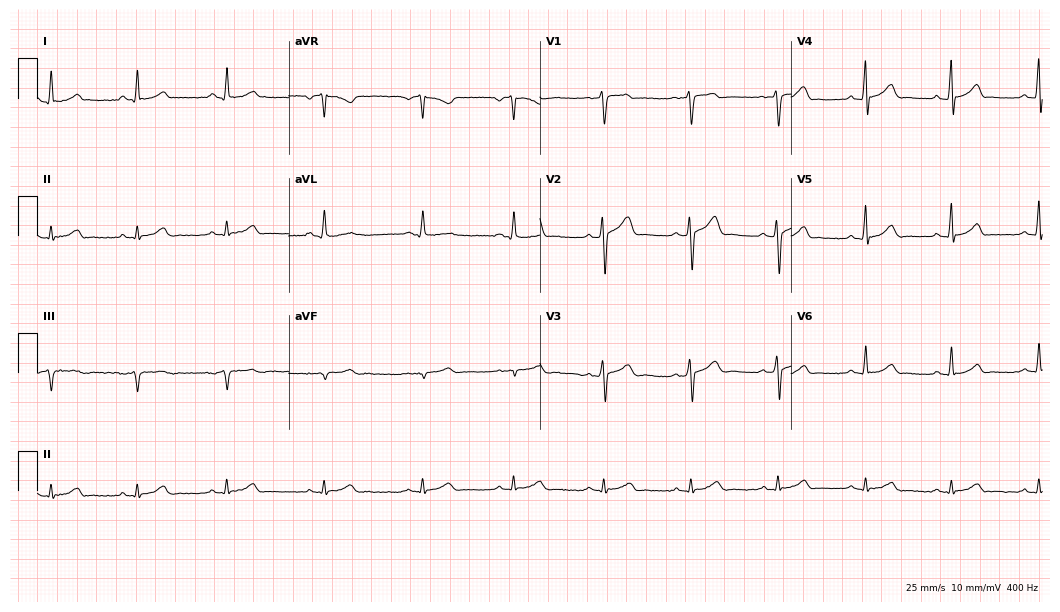
12-lead ECG from a male, 23 years old. Labelled as a normal ECG.